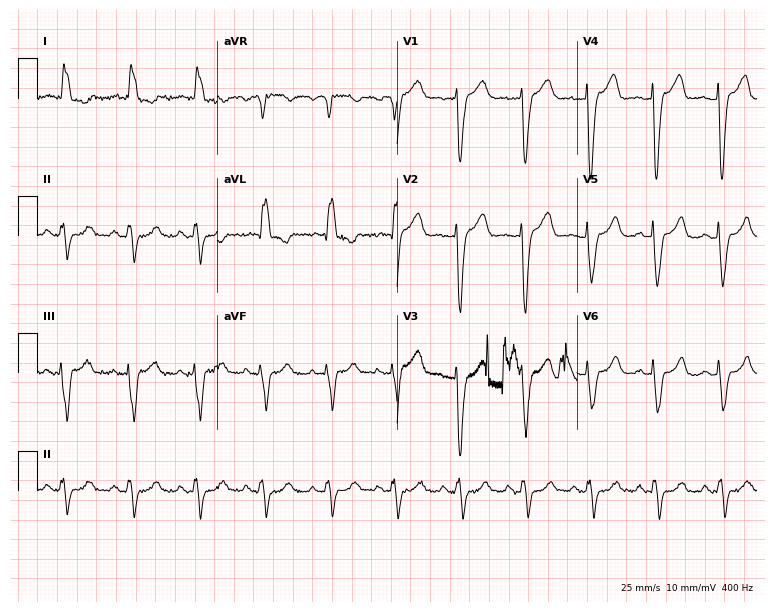
Resting 12-lead electrocardiogram. Patient: a female, 78 years old. The tracing shows left bundle branch block.